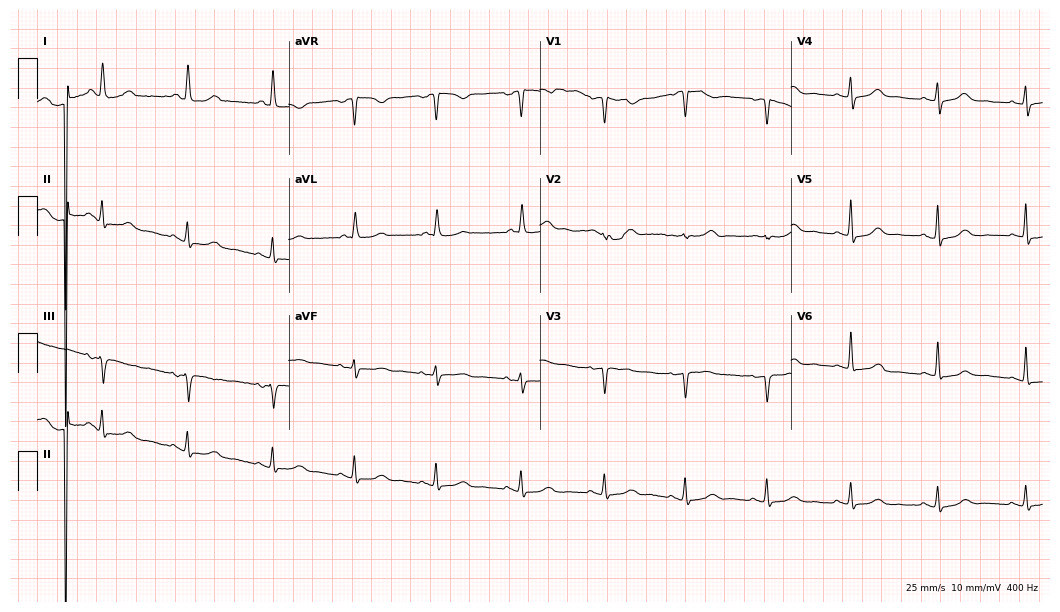
12-lead ECG from a 60-year-old female patient. Screened for six findings — first-degree AV block, right bundle branch block, left bundle branch block, sinus bradycardia, atrial fibrillation, sinus tachycardia — none is recorded.